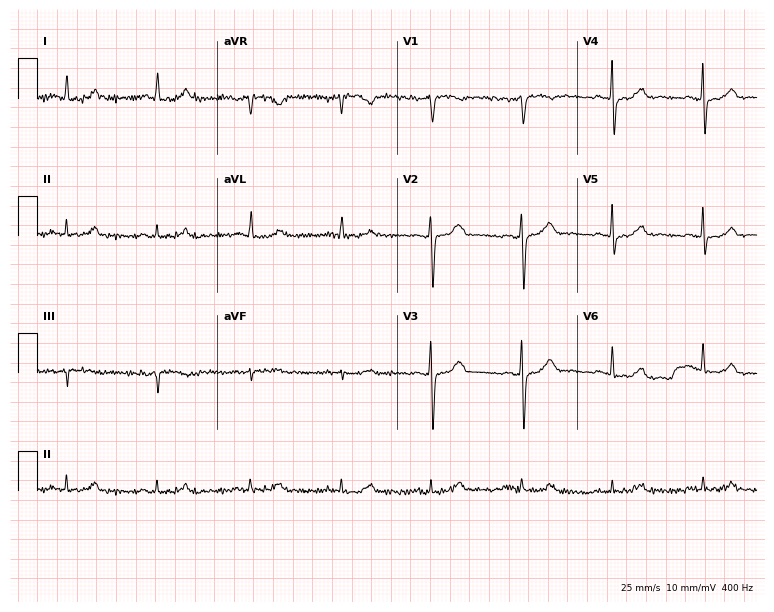
Resting 12-lead electrocardiogram (7.3-second recording at 400 Hz). Patient: a 43-year-old woman. None of these six findings is recorded: first-degree AV block, right bundle branch block, left bundle branch block, sinus bradycardia, atrial fibrillation, sinus tachycardia.